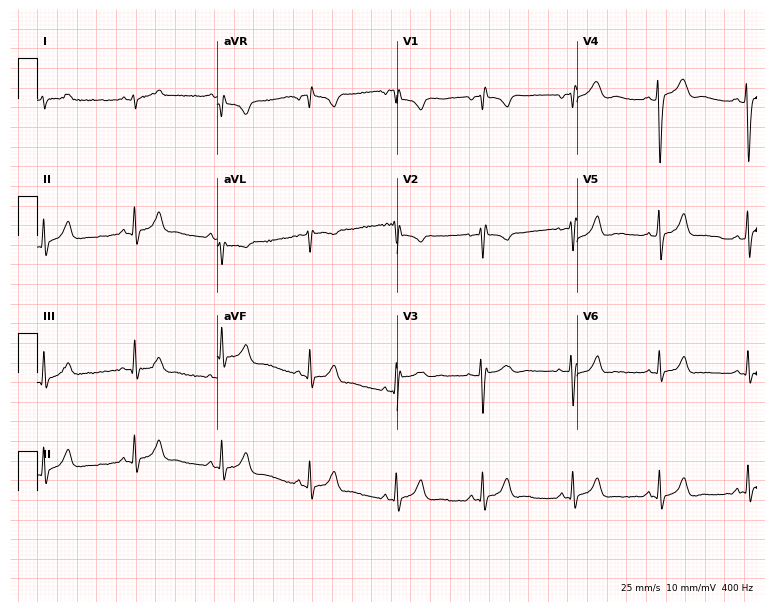
Standard 12-lead ECG recorded from an 18-year-old female patient (7.3-second recording at 400 Hz). None of these six findings is recorded: first-degree AV block, right bundle branch block (RBBB), left bundle branch block (LBBB), sinus bradycardia, atrial fibrillation (AF), sinus tachycardia.